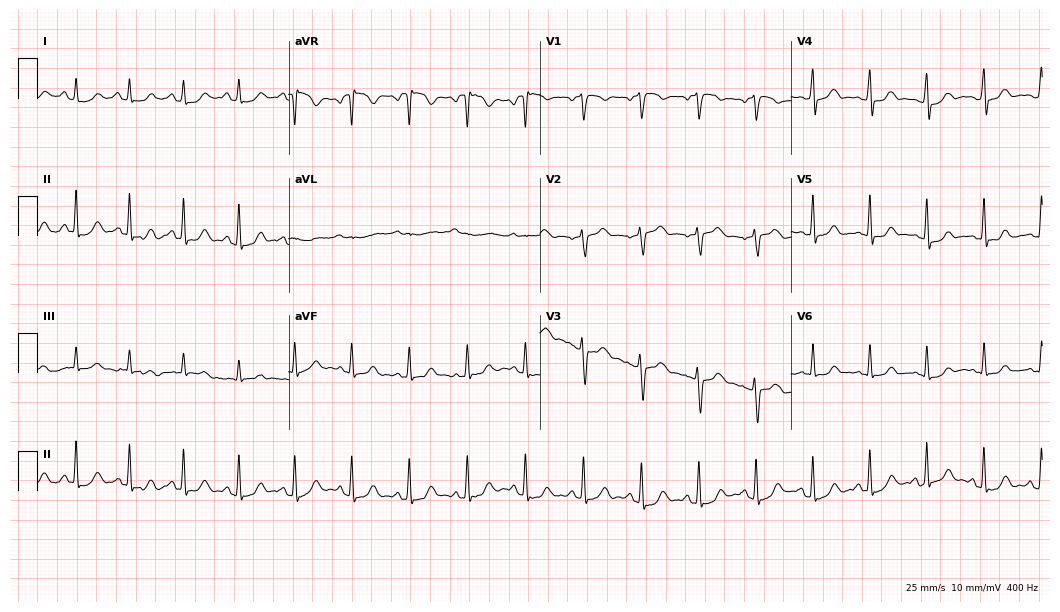
Standard 12-lead ECG recorded from a male patient, 57 years old (10.2-second recording at 400 Hz). The tracing shows sinus tachycardia (a sinus rate of 100 beats per minute or more).